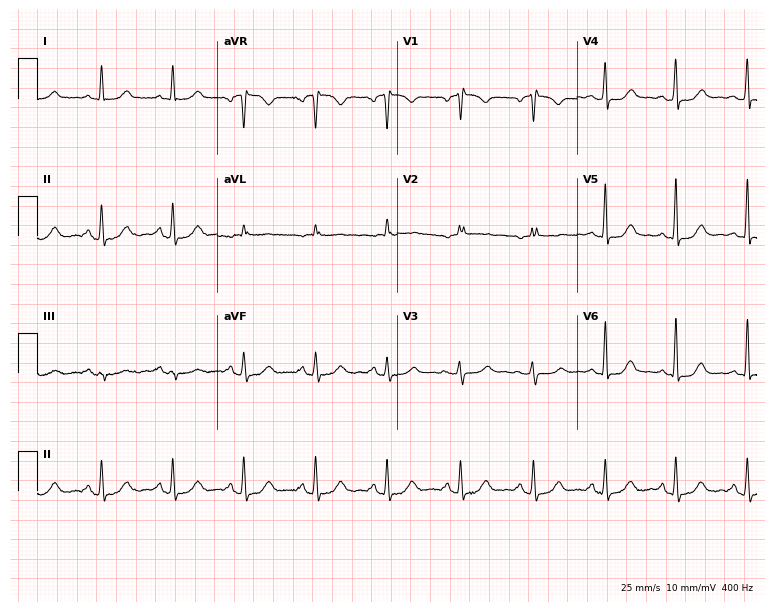
12-lead ECG from a female patient, 62 years old. Recorded interpretation: within normal limits.